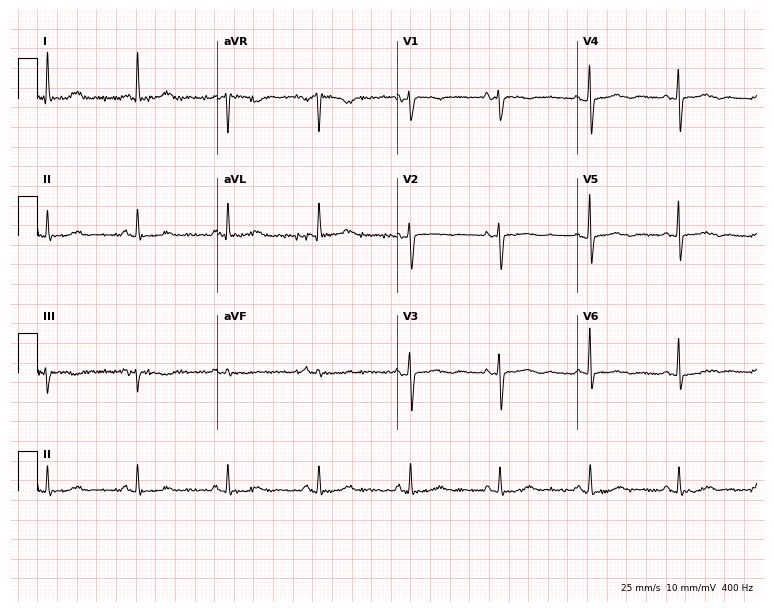
12-lead ECG from an 84-year-old woman. No first-degree AV block, right bundle branch block (RBBB), left bundle branch block (LBBB), sinus bradycardia, atrial fibrillation (AF) or sinus tachycardia recorded for this tracing.